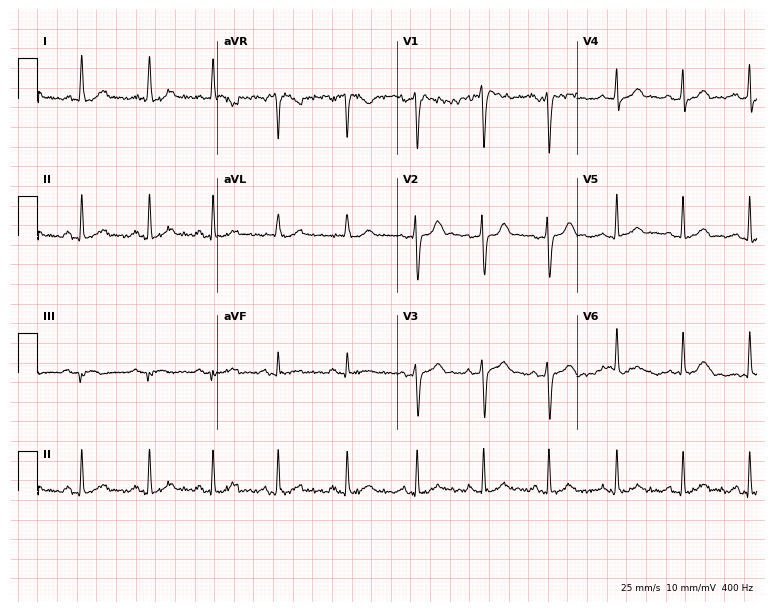
12-lead ECG from a 35-year-old man. Recorded interpretation: within normal limits.